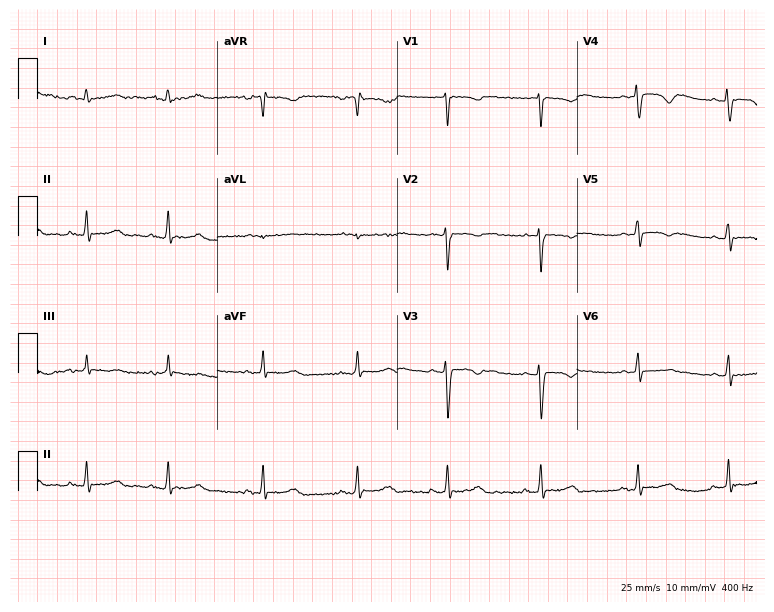
Electrocardiogram (7.3-second recording at 400 Hz), a woman, 23 years old. Of the six screened findings (first-degree AV block, right bundle branch block (RBBB), left bundle branch block (LBBB), sinus bradycardia, atrial fibrillation (AF), sinus tachycardia), none is recorded.